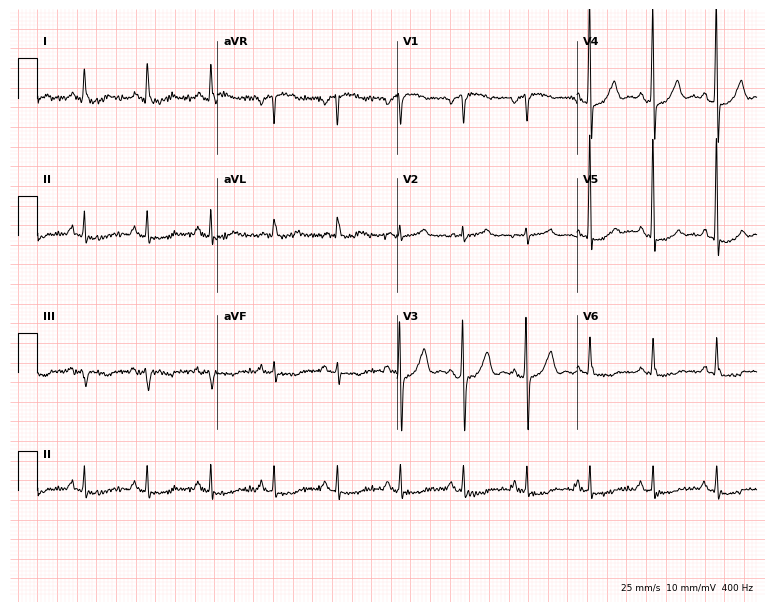
Resting 12-lead electrocardiogram. Patient: a man, 72 years old. None of these six findings is recorded: first-degree AV block, right bundle branch block, left bundle branch block, sinus bradycardia, atrial fibrillation, sinus tachycardia.